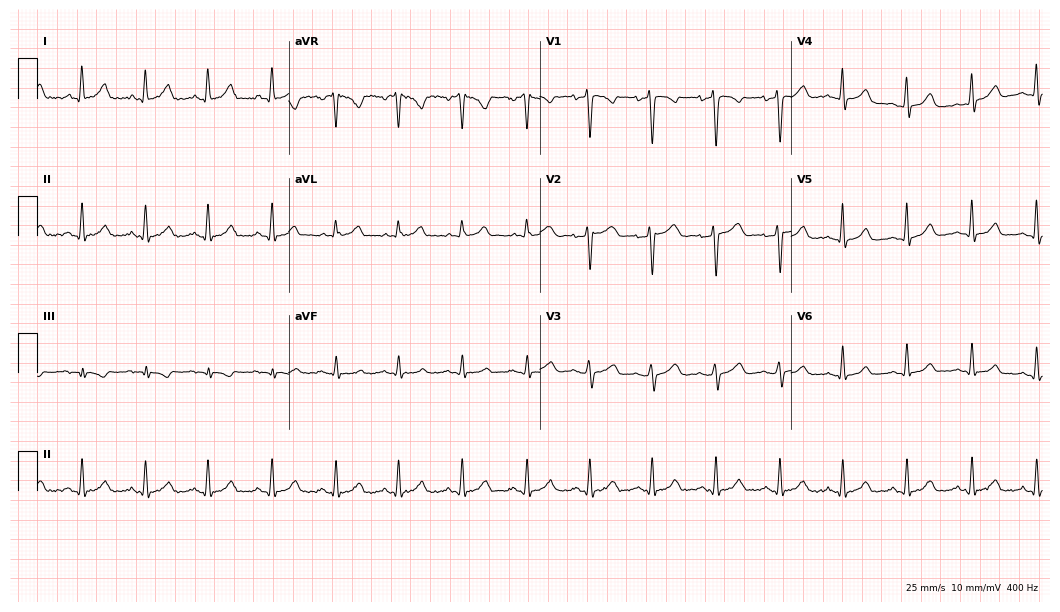
Electrocardiogram (10.2-second recording at 400 Hz), a female, 31 years old. Overall reading on record: normal ECG.